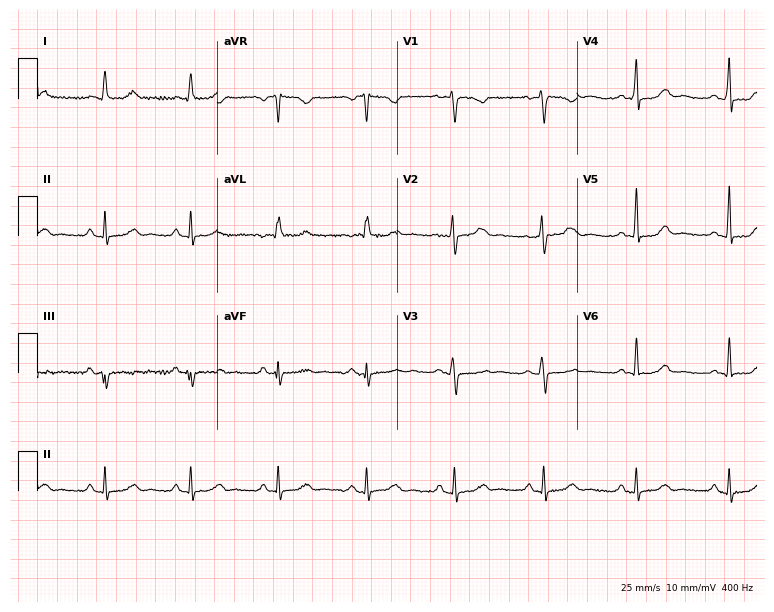
Electrocardiogram (7.3-second recording at 400 Hz), a female patient, 57 years old. Overall reading on record: normal ECG.